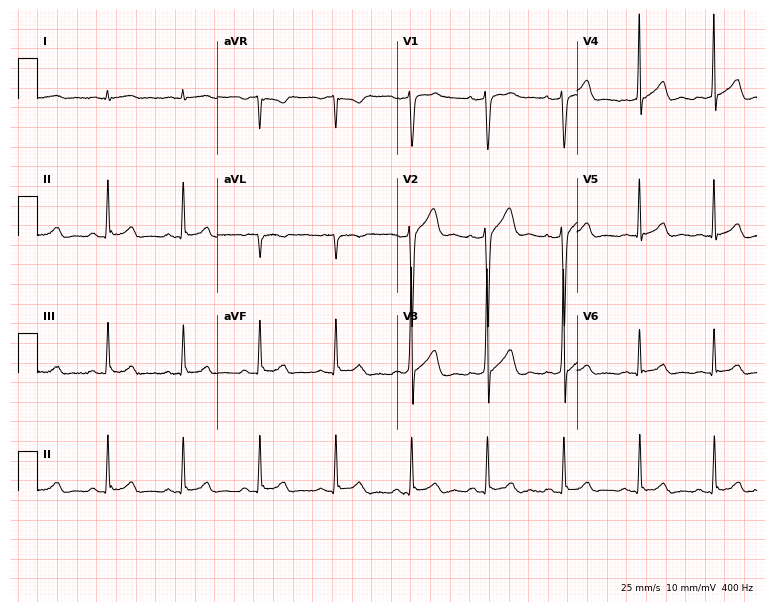
12-lead ECG from a 58-year-old male patient. Labelled as a normal ECG.